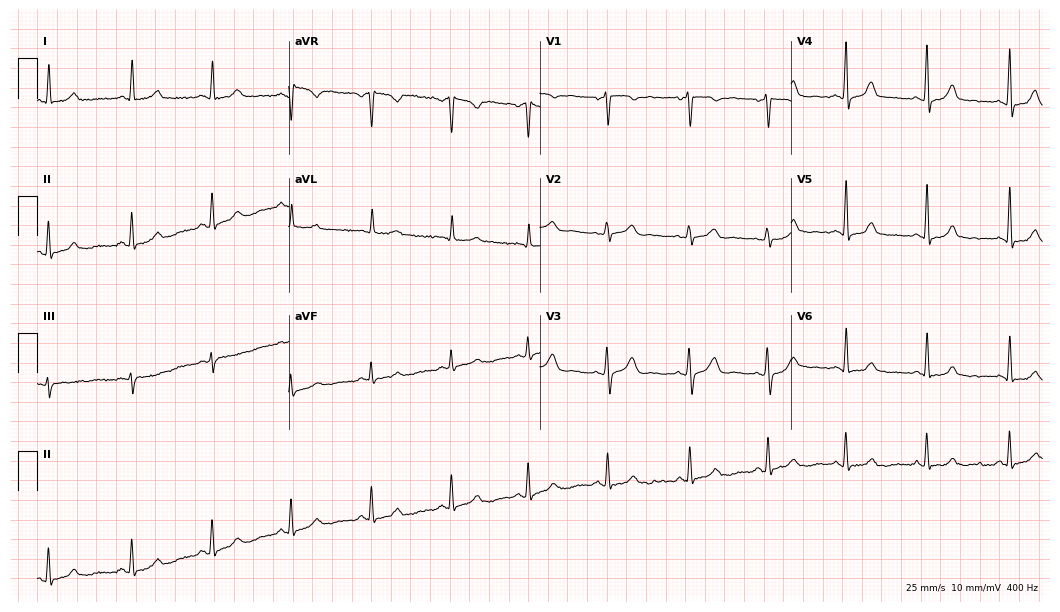
ECG (10.2-second recording at 400 Hz) — a 32-year-old woman. Labelled as a normal ECG.